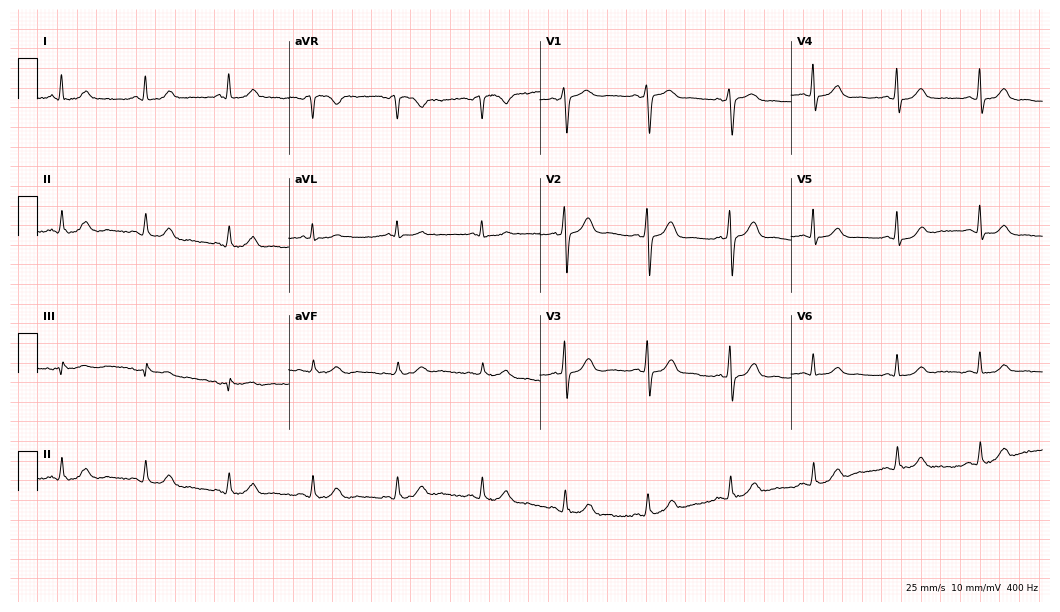
Standard 12-lead ECG recorded from a man, 78 years old. Read as a normal ECG.